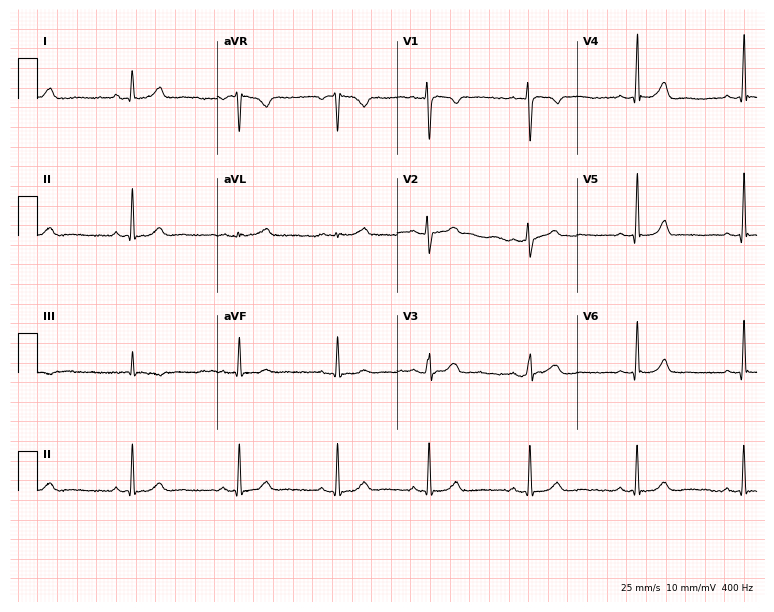
ECG (7.3-second recording at 400 Hz) — a woman, 32 years old. Labelled as a normal ECG.